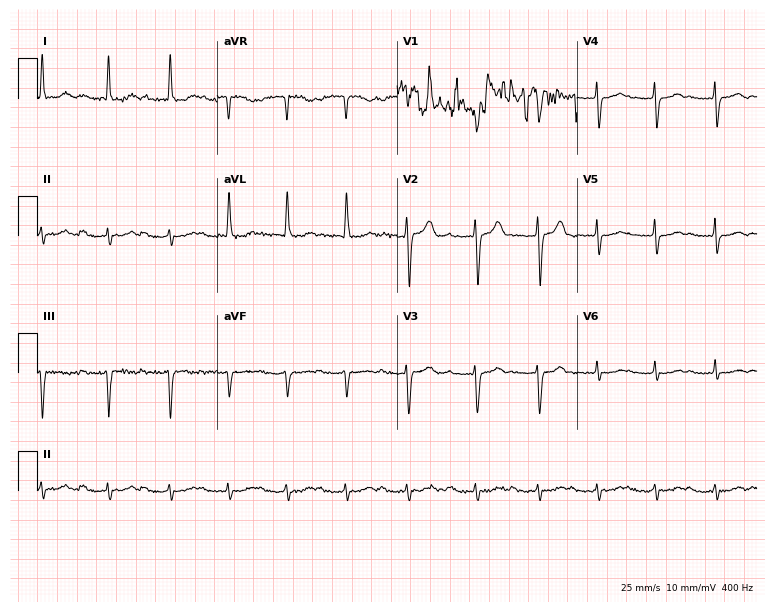
ECG — an 82-year-old female patient. Screened for six findings — first-degree AV block, right bundle branch block, left bundle branch block, sinus bradycardia, atrial fibrillation, sinus tachycardia — none is recorded.